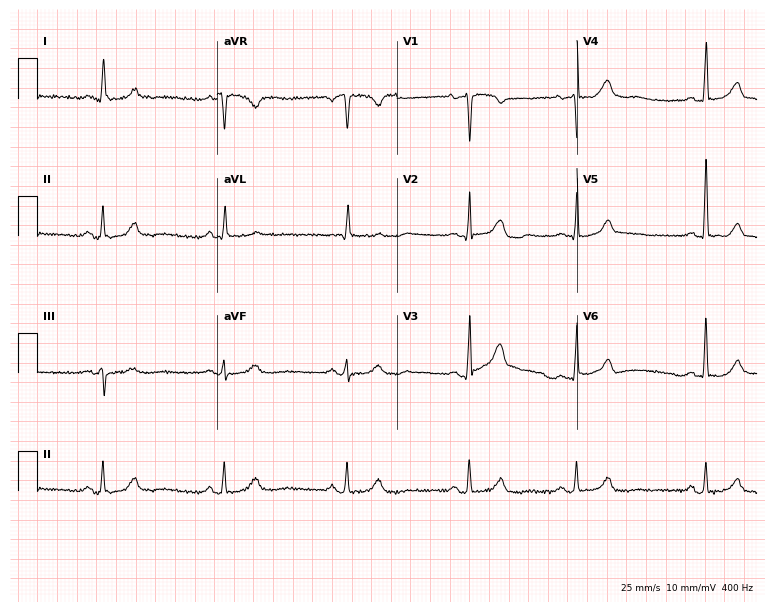
Resting 12-lead electrocardiogram (7.3-second recording at 400 Hz). Patient: a 70-year-old female. Read as a normal ECG.